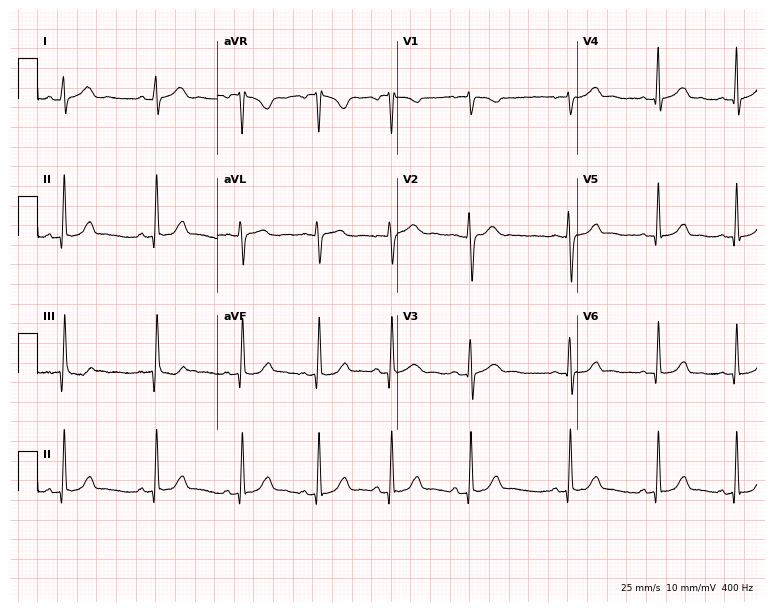
ECG — a female patient, 22 years old. Screened for six findings — first-degree AV block, right bundle branch block, left bundle branch block, sinus bradycardia, atrial fibrillation, sinus tachycardia — none is recorded. Findings outside these six are not listed.